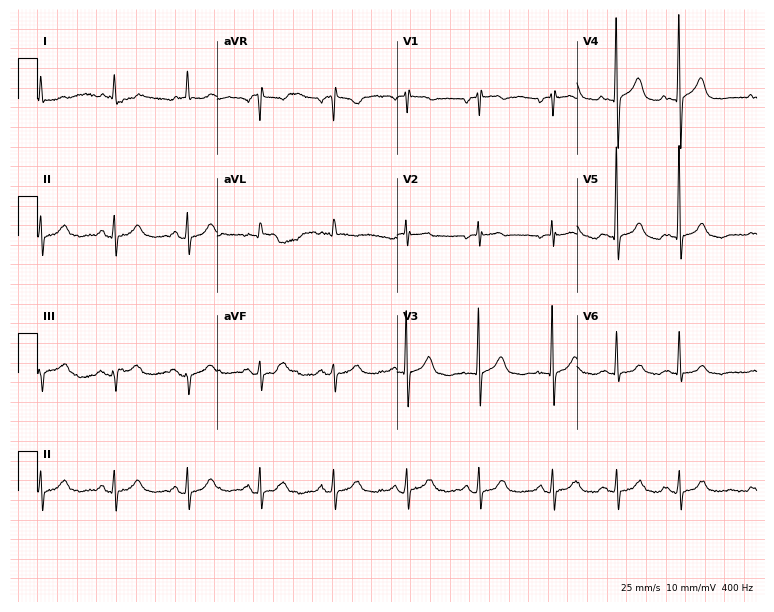
Standard 12-lead ECG recorded from a woman, 78 years old. None of these six findings is recorded: first-degree AV block, right bundle branch block (RBBB), left bundle branch block (LBBB), sinus bradycardia, atrial fibrillation (AF), sinus tachycardia.